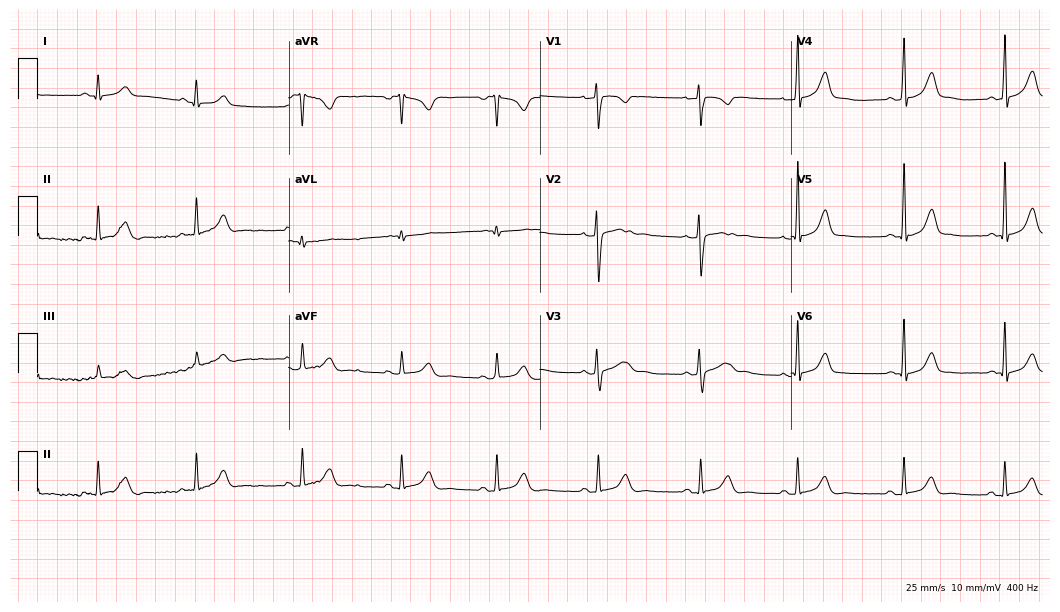
12-lead ECG from a female patient, 29 years old (10.2-second recording at 400 Hz). Recorded interpretation: within normal limits.